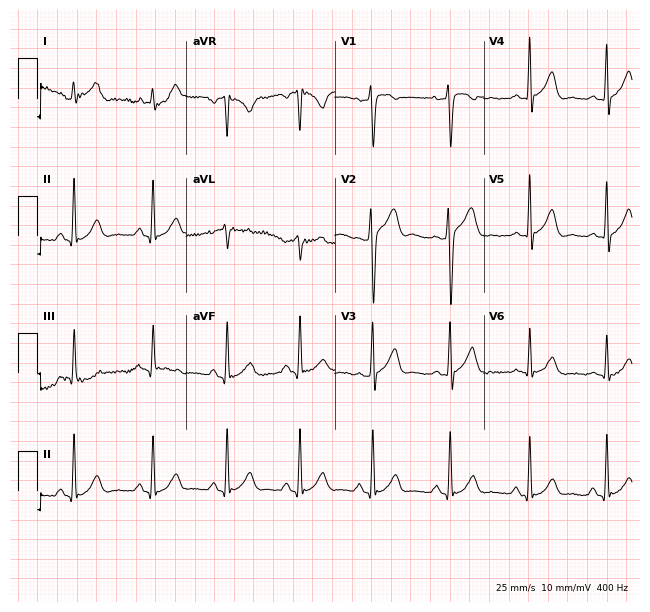
12-lead ECG from a male patient, 26 years old. Labelled as a normal ECG.